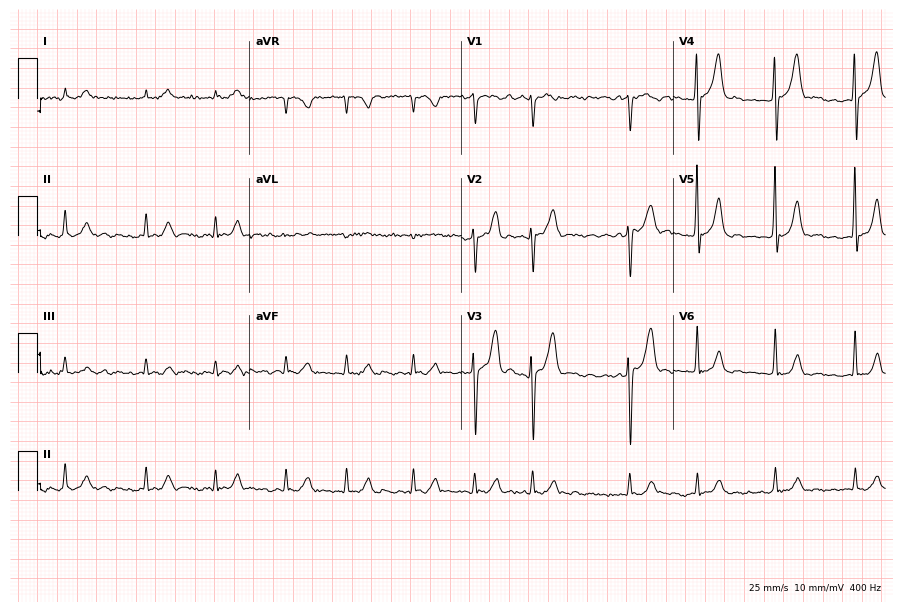
ECG — a 72-year-old man. Findings include atrial fibrillation.